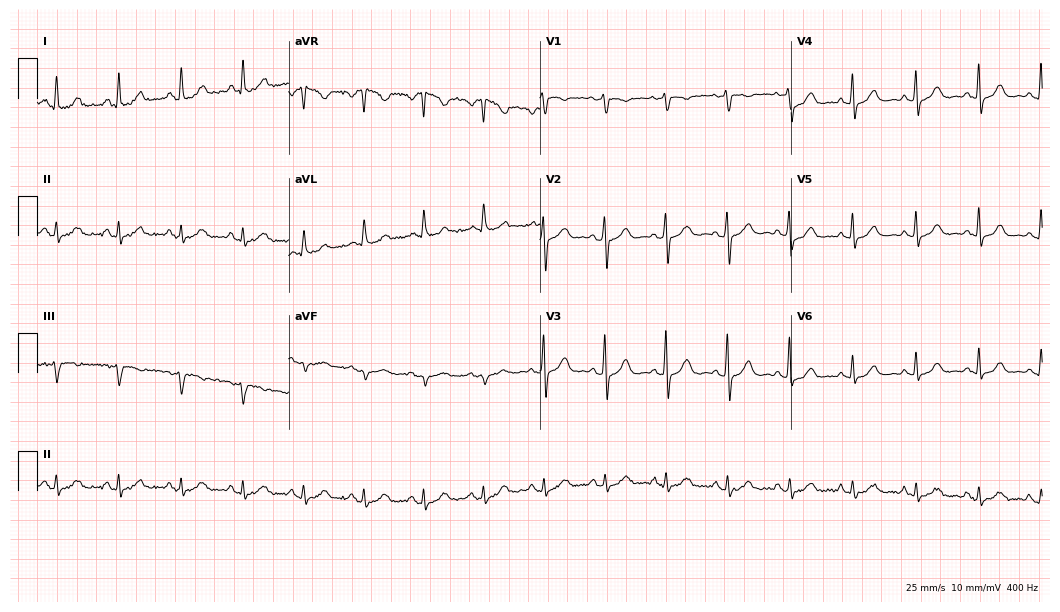
Electrocardiogram (10.2-second recording at 400 Hz), a female, 62 years old. Overall reading on record: normal ECG.